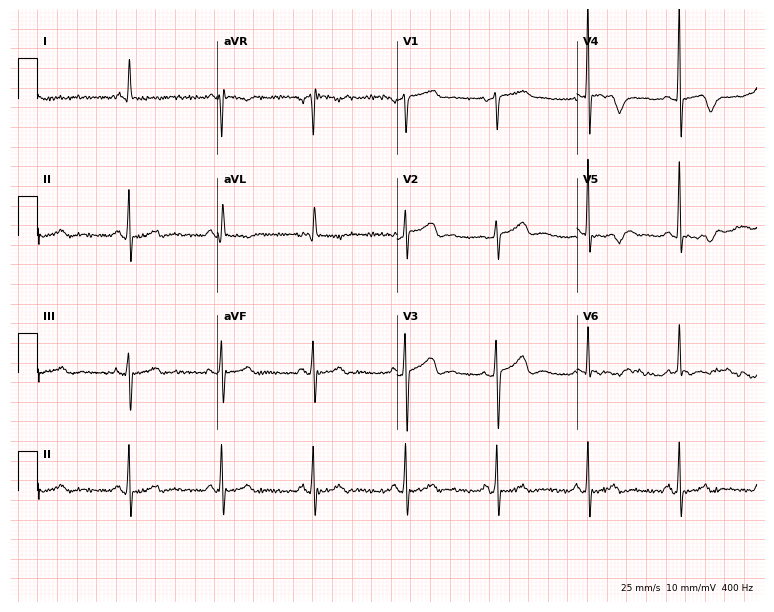
Standard 12-lead ECG recorded from a 78-year-old female. None of these six findings is recorded: first-degree AV block, right bundle branch block, left bundle branch block, sinus bradycardia, atrial fibrillation, sinus tachycardia.